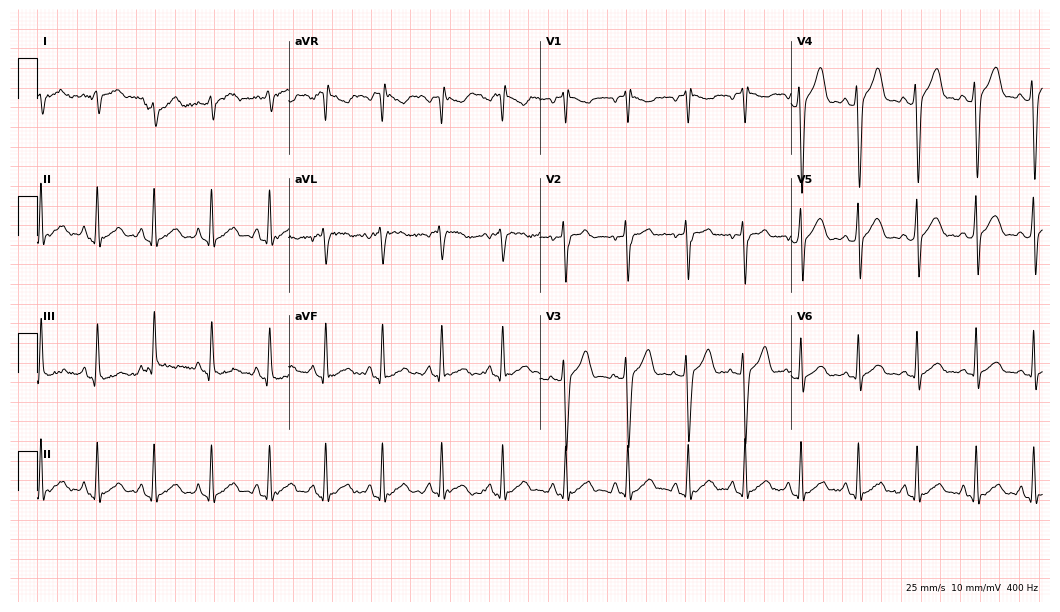
Electrocardiogram, a male, 21 years old. Overall reading on record: normal ECG.